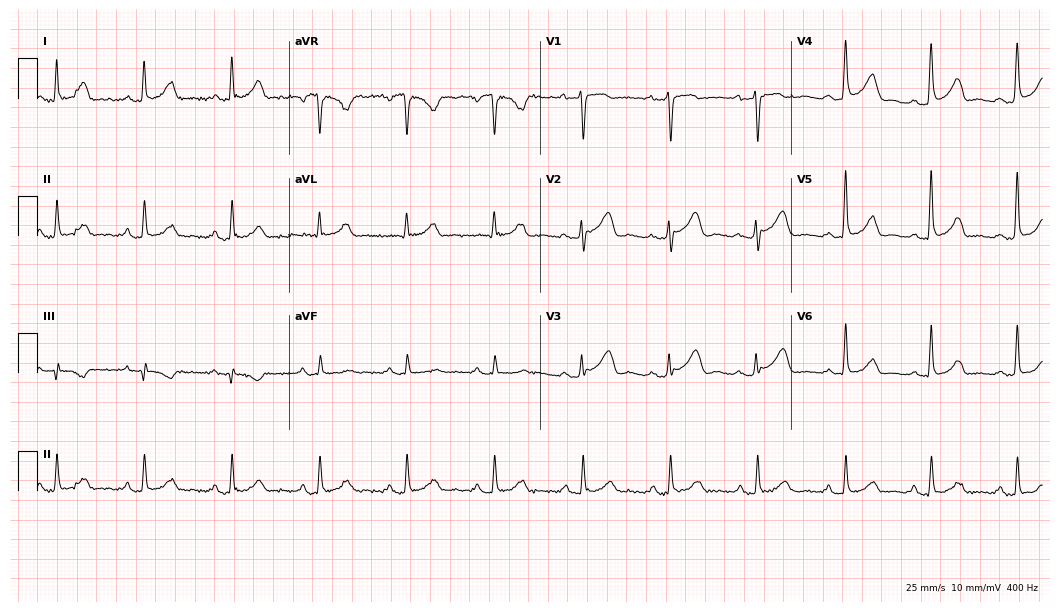
Electrocardiogram (10.2-second recording at 400 Hz), a woman, 61 years old. Of the six screened findings (first-degree AV block, right bundle branch block (RBBB), left bundle branch block (LBBB), sinus bradycardia, atrial fibrillation (AF), sinus tachycardia), none is recorded.